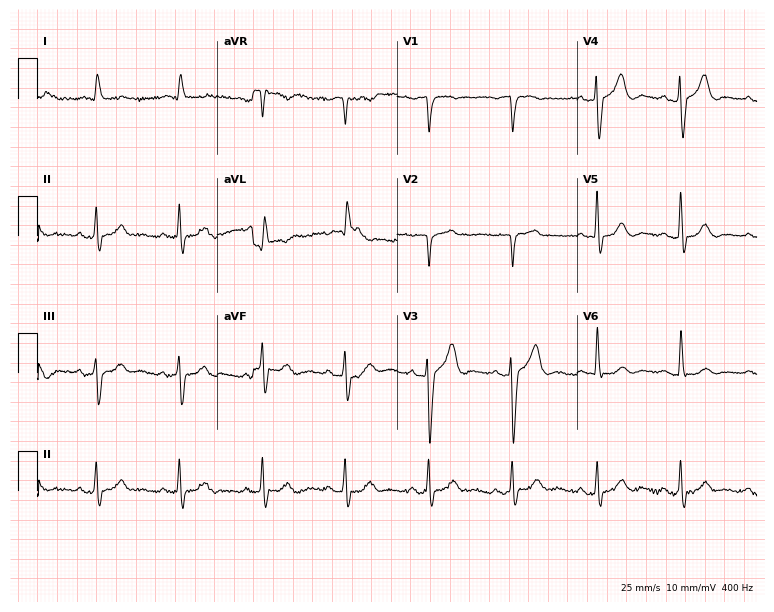
Electrocardiogram (7.3-second recording at 400 Hz), an 83-year-old male patient. Of the six screened findings (first-degree AV block, right bundle branch block, left bundle branch block, sinus bradycardia, atrial fibrillation, sinus tachycardia), none is recorded.